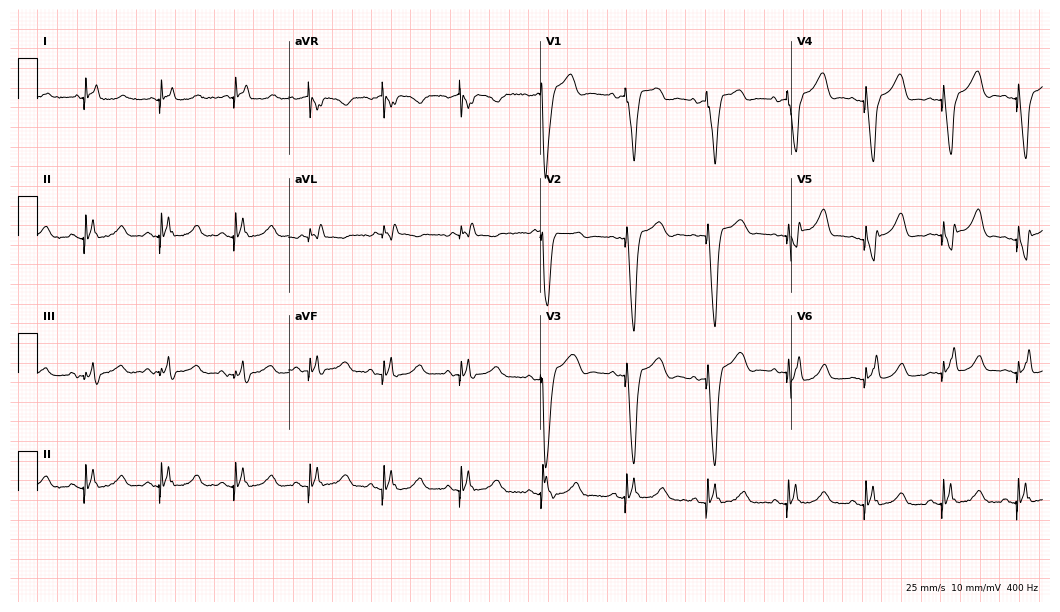
12-lead ECG from a female patient, 81 years old. No first-degree AV block, right bundle branch block, left bundle branch block, sinus bradycardia, atrial fibrillation or sinus tachycardia recorded for this tracing.